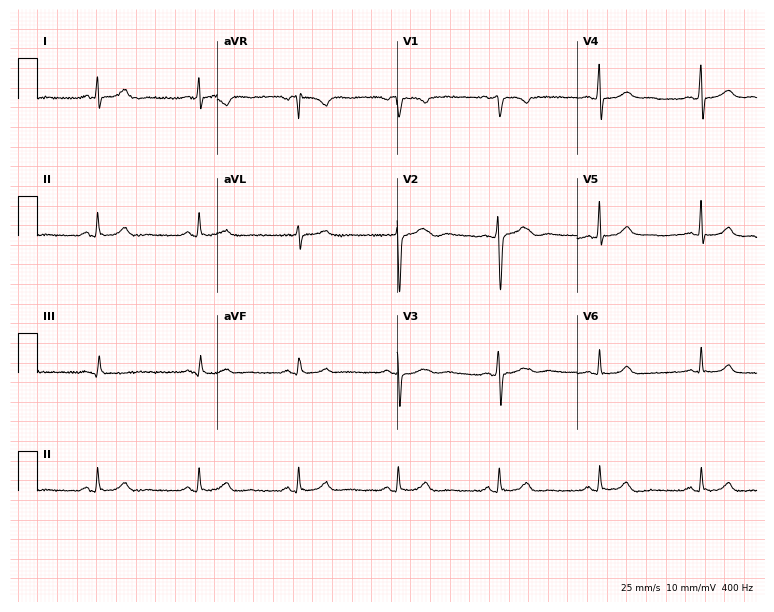
Electrocardiogram (7.3-second recording at 400 Hz), a male, 49 years old. Overall reading on record: normal ECG.